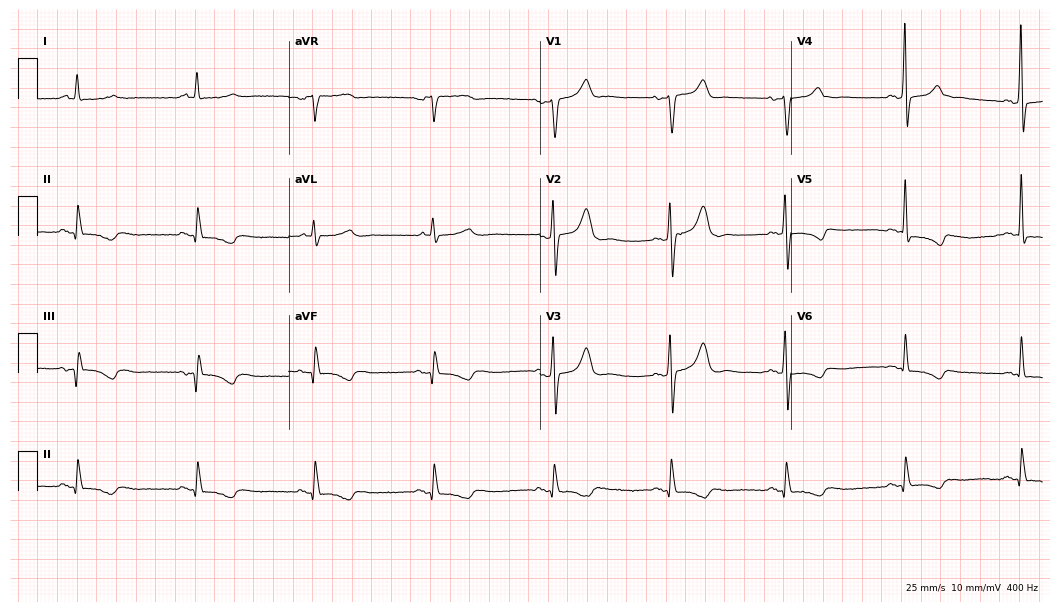
Standard 12-lead ECG recorded from a male, 70 years old. None of these six findings is recorded: first-degree AV block, right bundle branch block, left bundle branch block, sinus bradycardia, atrial fibrillation, sinus tachycardia.